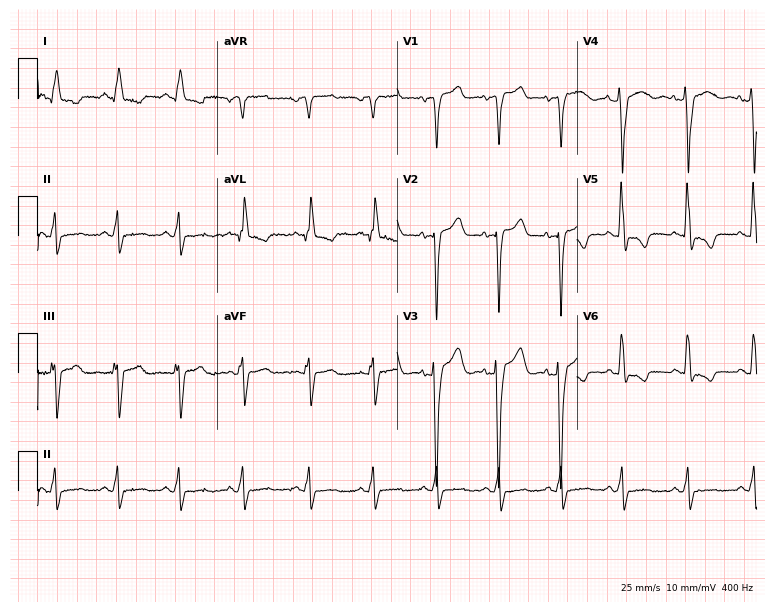
Standard 12-lead ECG recorded from a man, 39 years old (7.3-second recording at 400 Hz). None of these six findings is recorded: first-degree AV block, right bundle branch block (RBBB), left bundle branch block (LBBB), sinus bradycardia, atrial fibrillation (AF), sinus tachycardia. Other findings, if any, are not listed.